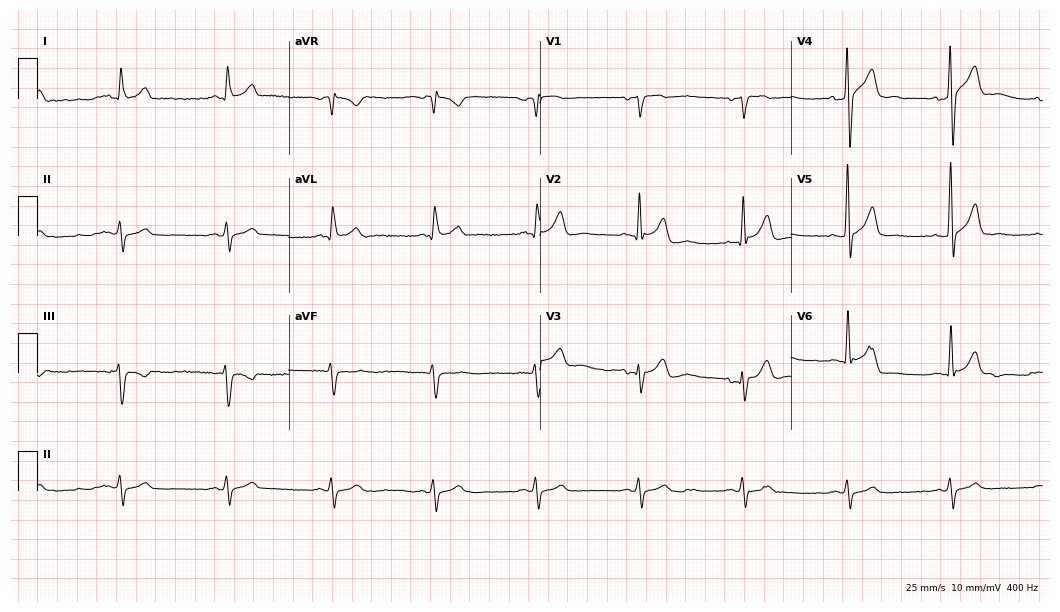
Standard 12-lead ECG recorded from a 46-year-old male patient (10.2-second recording at 400 Hz). Read as a normal ECG.